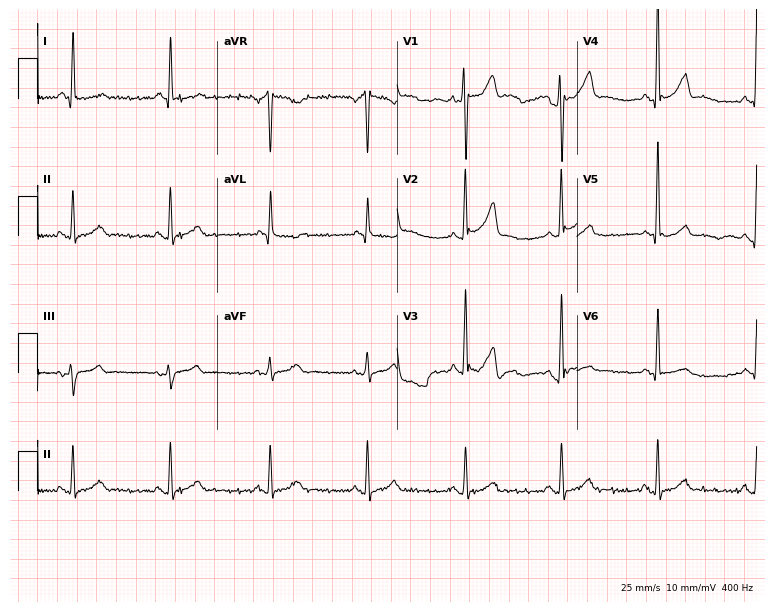
12-lead ECG (7.3-second recording at 400 Hz) from a male, 61 years old. Labelled as a normal ECG.